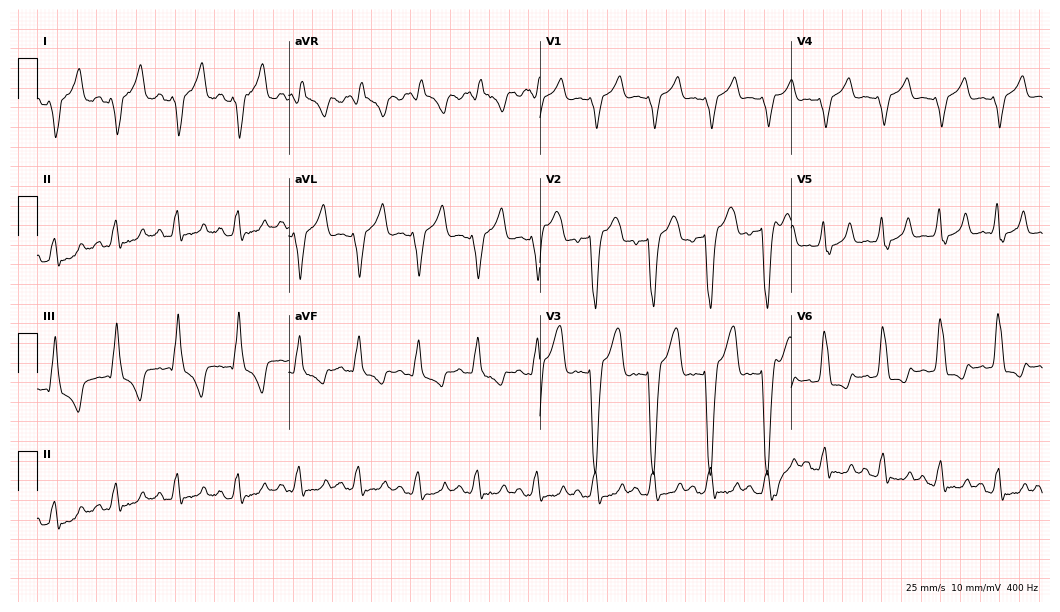
12-lead ECG from a 58-year-old female. Findings include left bundle branch block (LBBB).